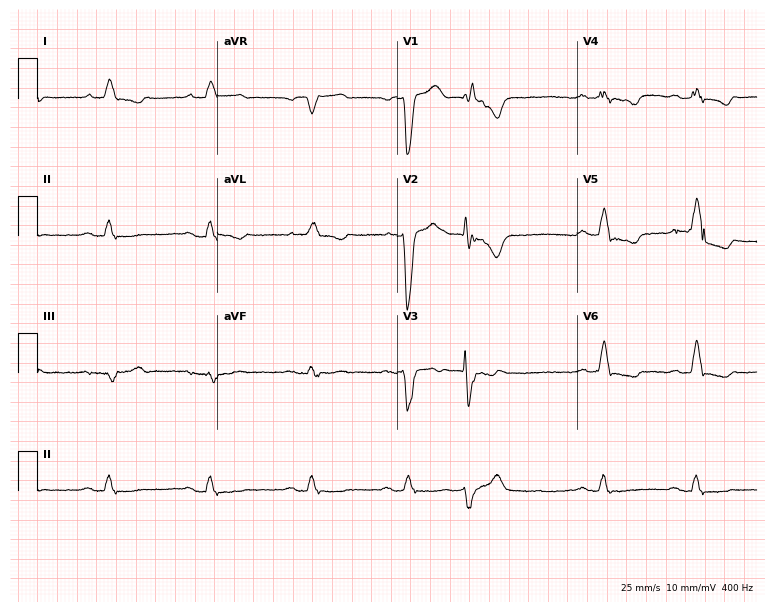
Electrocardiogram, an 84-year-old man. Of the six screened findings (first-degree AV block, right bundle branch block (RBBB), left bundle branch block (LBBB), sinus bradycardia, atrial fibrillation (AF), sinus tachycardia), none is recorded.